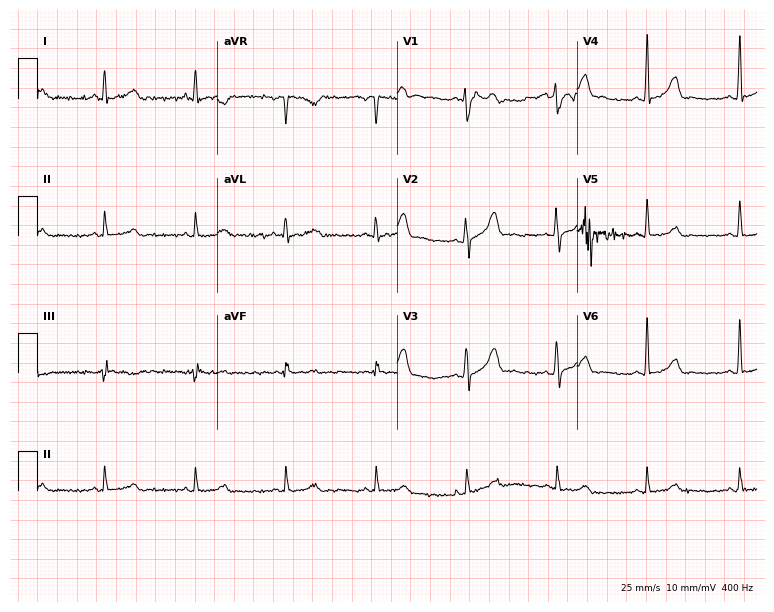
12-lead ECG (7.3-second recording at 400 Hz) from a male, 48 years old. Screened for six findings — first-degree AV block, right bundle branch block, left bundle branch block, sinus bradycardia, atrial fibrillation, sinus tachycardia — none is recorded.